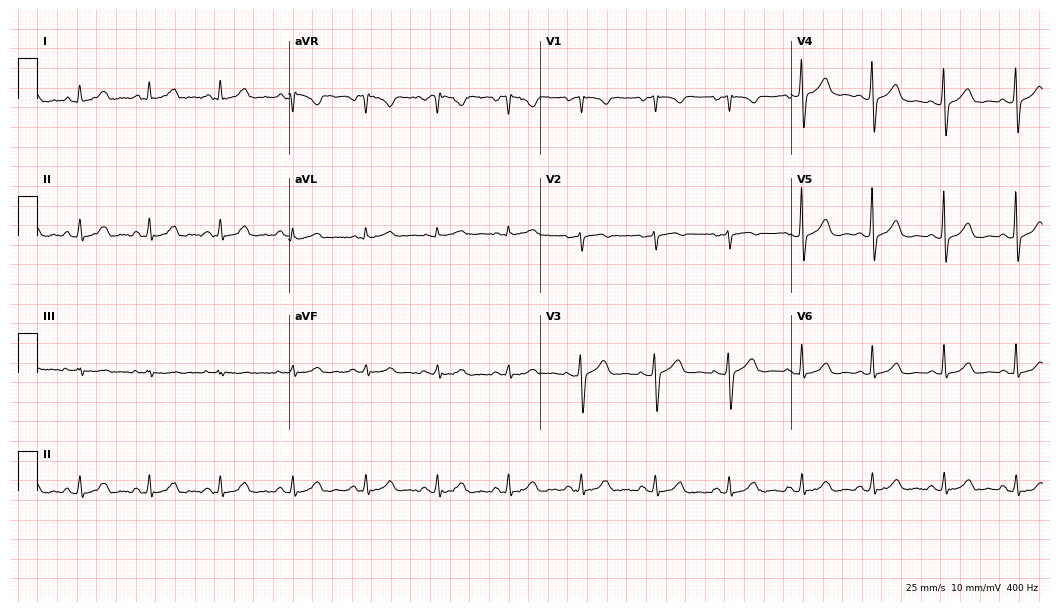
ECG — a female, 50 years old. Labelled as a normal ECG.